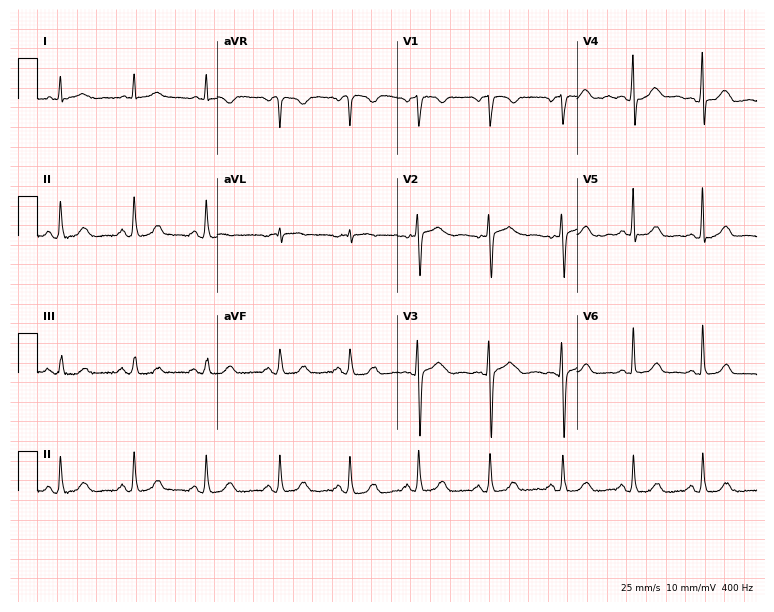
12-lead ECG (7.3-second recording at 400 Hz) from a female patient, 51 years old. Labelled as a normal ECG.